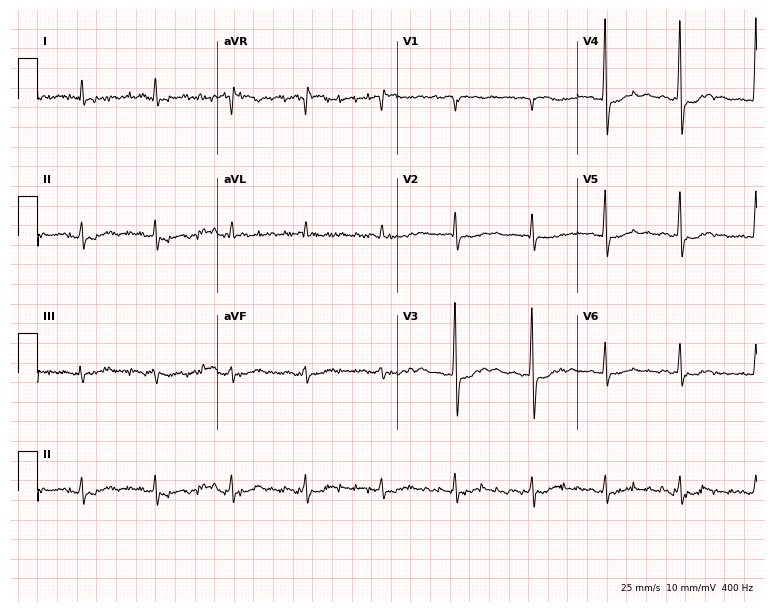
12-lead ECG from an 82-year-old female. Screened for six findings — first-degree AV block, right bundle branch block, left bundle branch block, sinus bradycardia, atrial fibrillation, sinus tachycardia — none is recorded. Other findings, if any, are not listed.